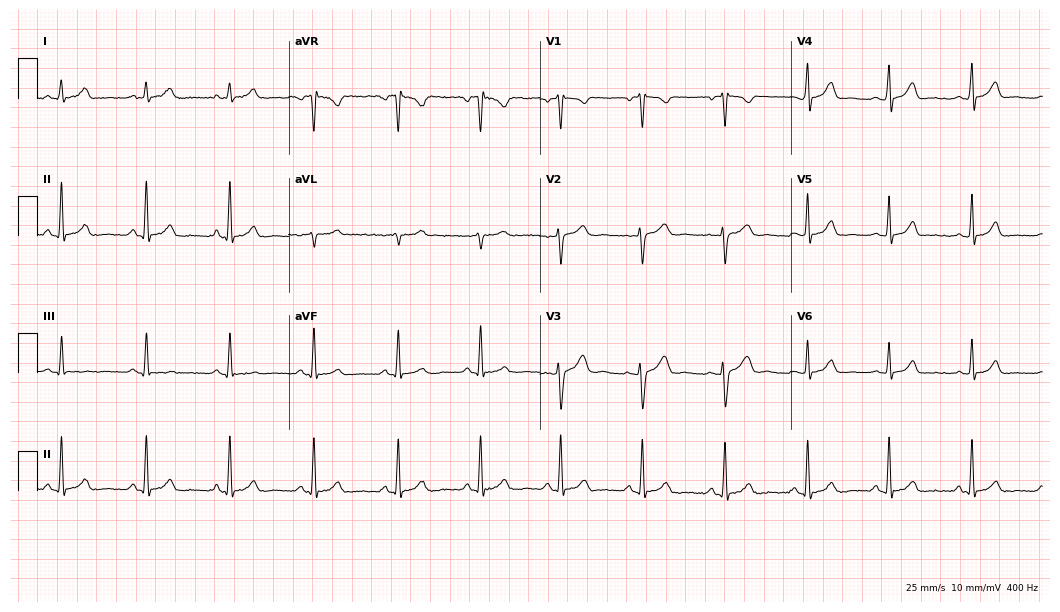
12-lead ECG from a woman, 22 years old. Labelled as a normal ECG.